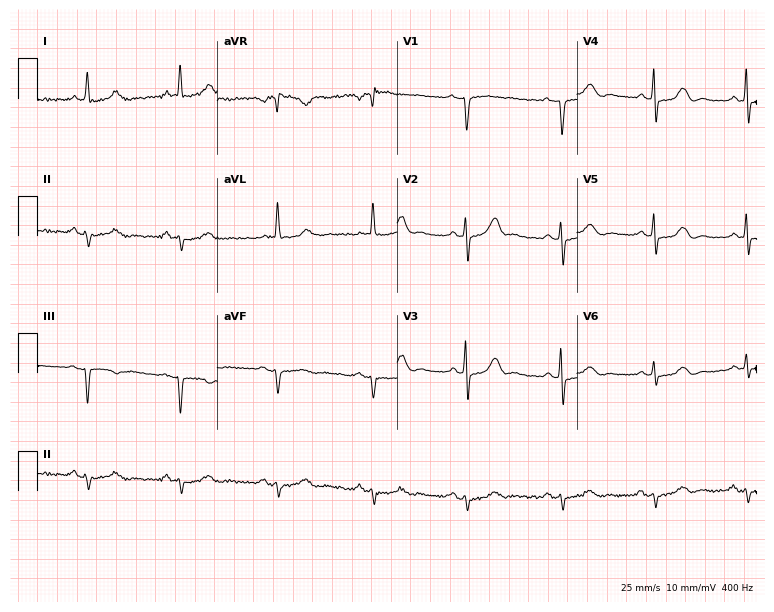
Standard 12-lead ECG recorded from a female, 68 years old. None of these six findings is recorded: first-degree AV block, right bundle branch block (RBBB), left bundle branch block (LBBB), sinus bradycardia, atrial fibrillation (AF), sinus tachycardia.